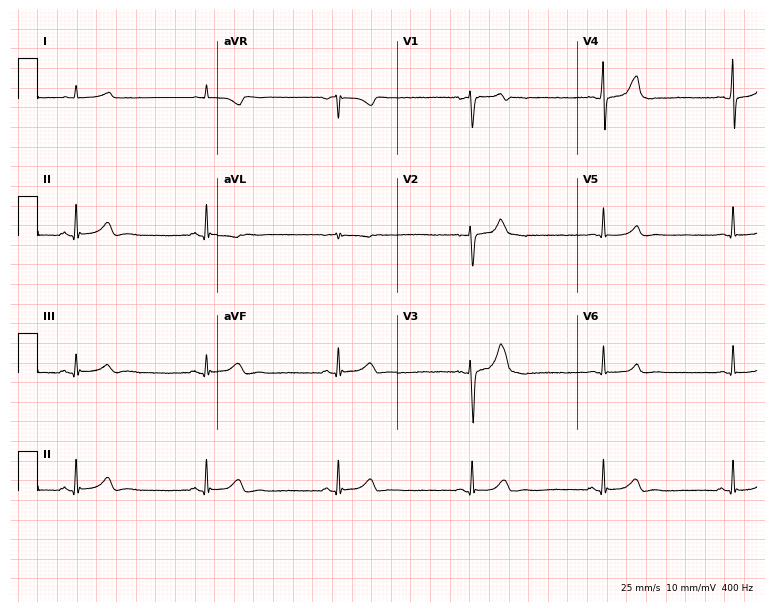
ECG (7.3-second recording at 400 Hz) — a 50-year-old male patient. Findings include sinus bradycardia (a sinus rate of 50 beats per minute or less).